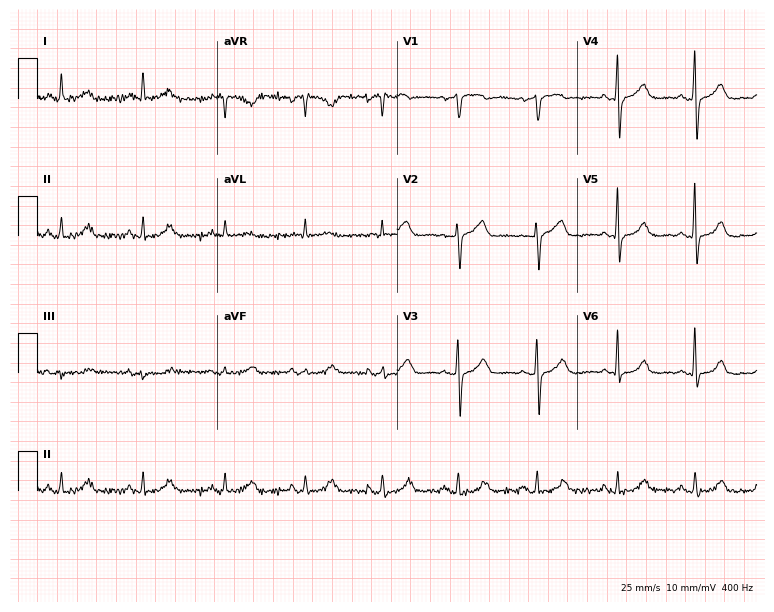
12-lead ECG from a 68-year-old female. Labelled as a normal ECG.